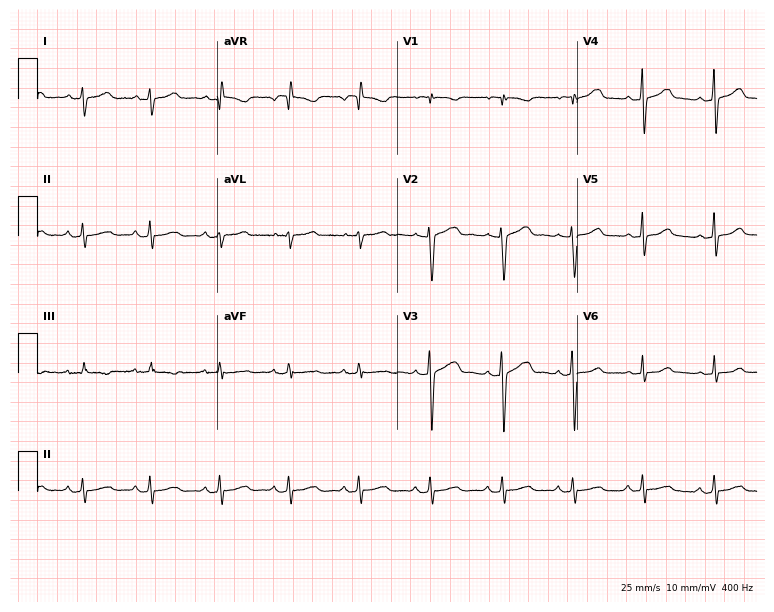
Standard 12-lead ECG recorded from a woman, 20 years old (7.3-second recording at 400 Hz). None of these six findings is recorded: first-degree AV block, right bundle branch block, left bundle branch block, sinus bradycardia, atrial fibrillation, sinus tachycardia. Findings outside these six are not listed.